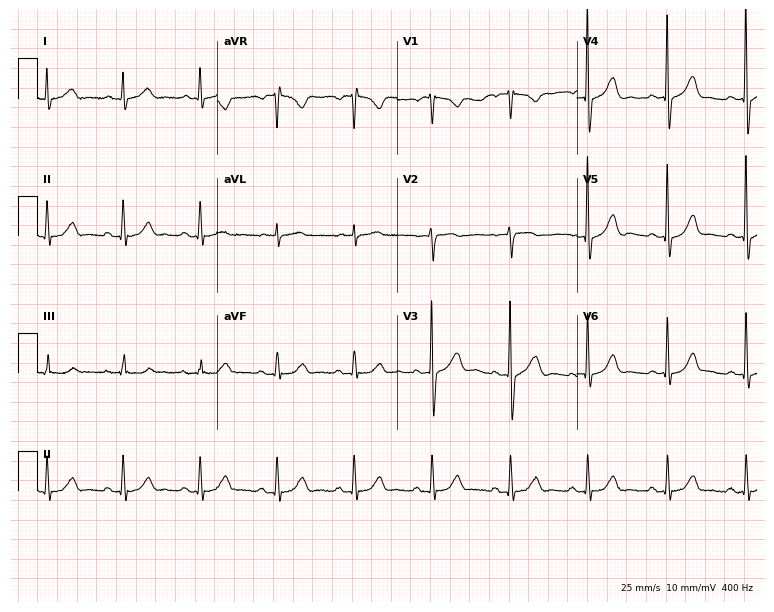
Electrocardiogram (7.3-second recording at 400 Hz), a female patient, 58 years old. Overall reading on record: normal ECG.